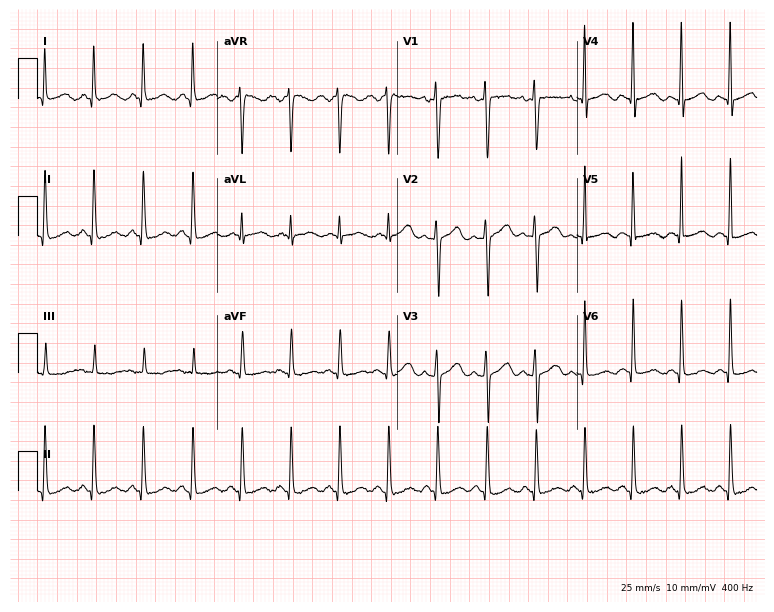
Standard 12-lead ECG recorded from a 41-year-old woman. None of these six findings is recorded: first-degree AV block, right bundle branch block, left bundle branch block, sinus bradycardia, atrial fibrillation, sinus tachycardia.